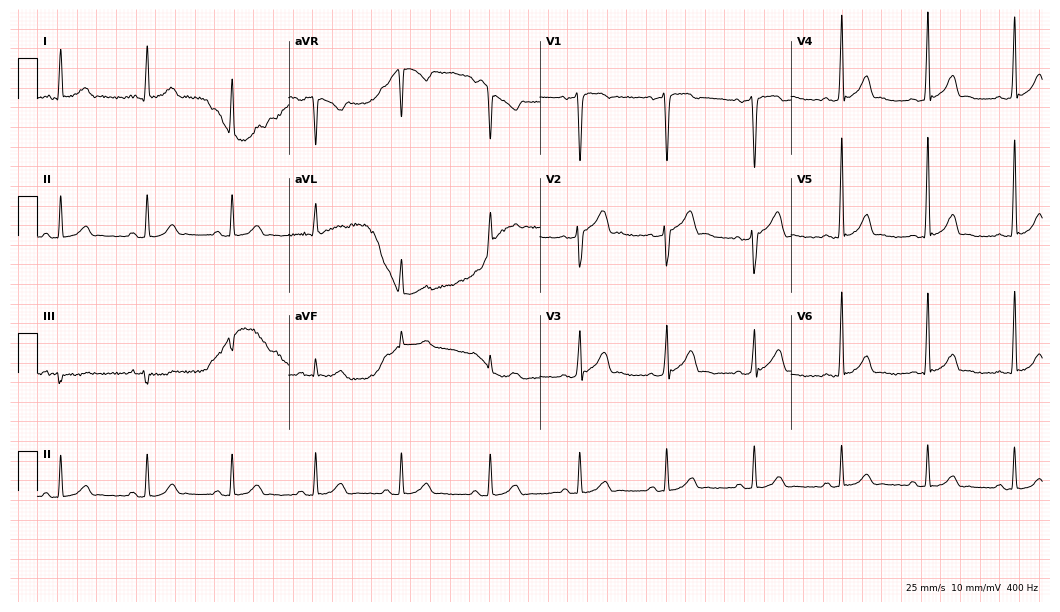
12-lead ECG from a 22-year-old man. Recorded interpretation: within normal limits.